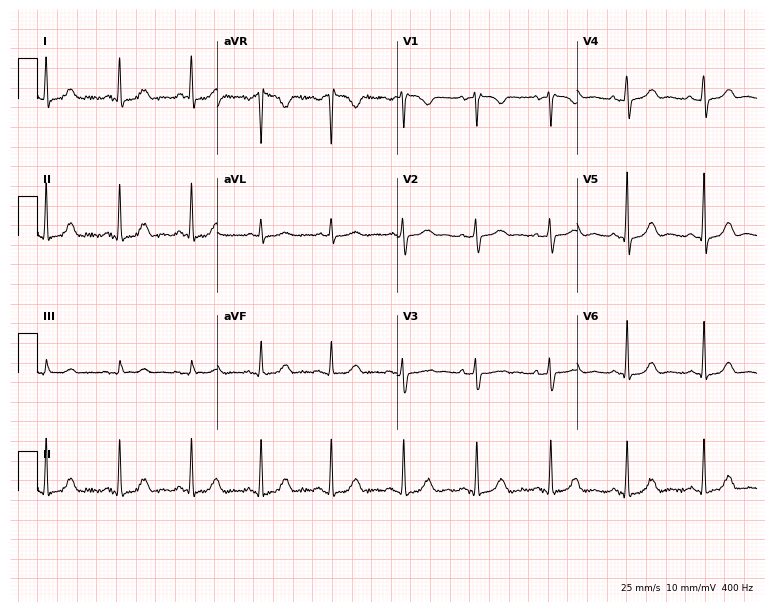
12-lead ECG from a 58-year-old woman. Recorded interpretation: within normal limits.